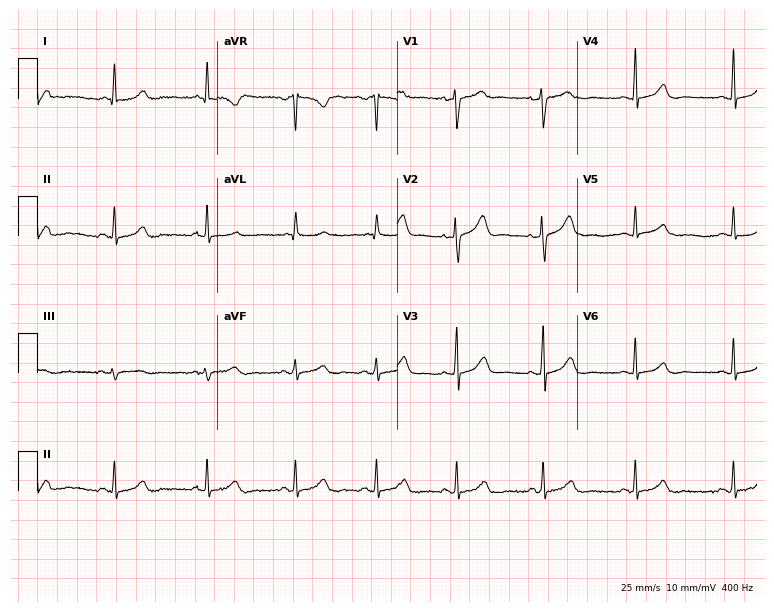
Electrocardiogram, a 49-year-old female. Of the six screened findings (first-degree AV block, right bundle branch block (RBBB), left bundle branch block (LBBB), sinus bradycardia, atrial fibrillation (AF), sinus tachycardia), none is recorded. Only these six findings were labelled.